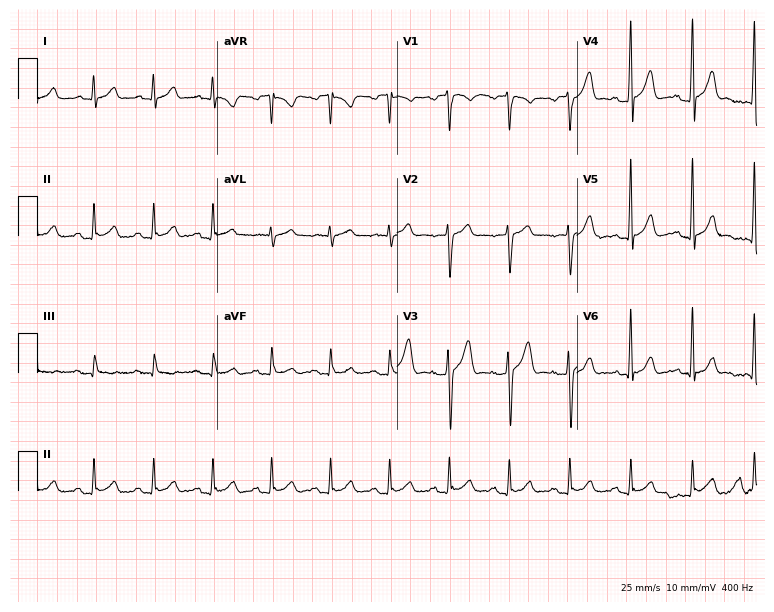
Resting 12-lead electrocardiogram (7.3-second recording at 400 Hz). Patient: a man, 40 years old. None of these six findings is recorded: first-degree AV block, right bundle branch block, left bundle branch block, sinus bradycardia, atrial fibrillation, sinus tachycardia.